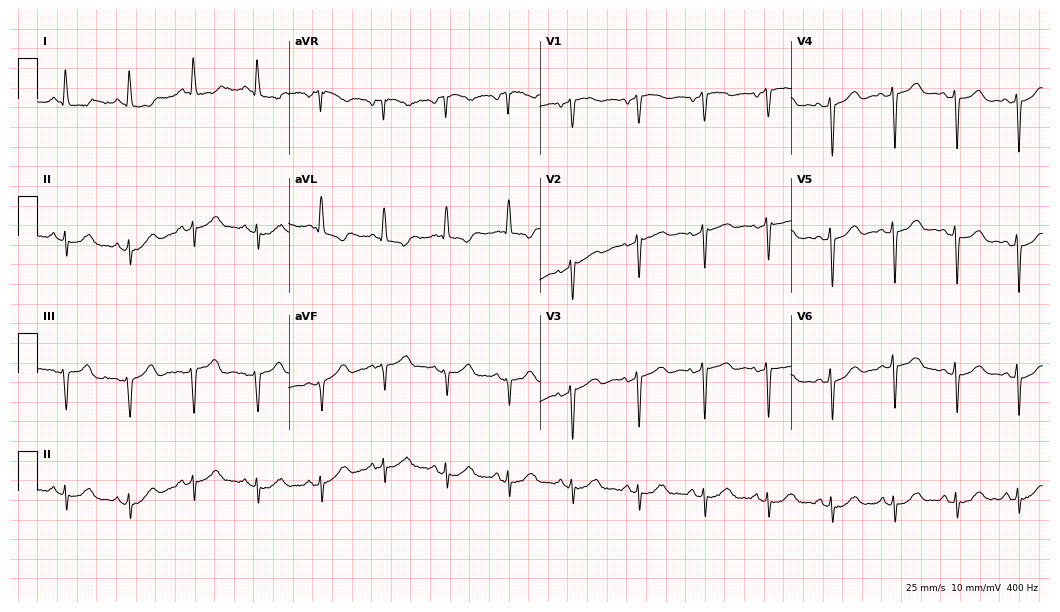
ECG (10.2-second recording at 400 Hz) — a female, 63 years old. Screened for six findings — first-degree AV block, right bundle branch block, left bundle branch block, sinus bradycardia, atrial fibrillation, sinus tachycardia — none is recorded. Findings outside these six are not listed.